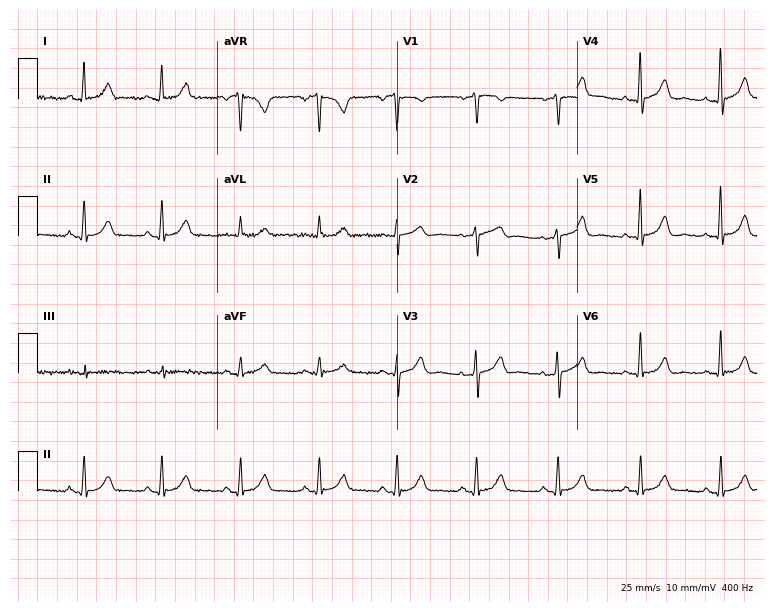
ECG — a woman, 64 years old. Labelled as a normal ECG.